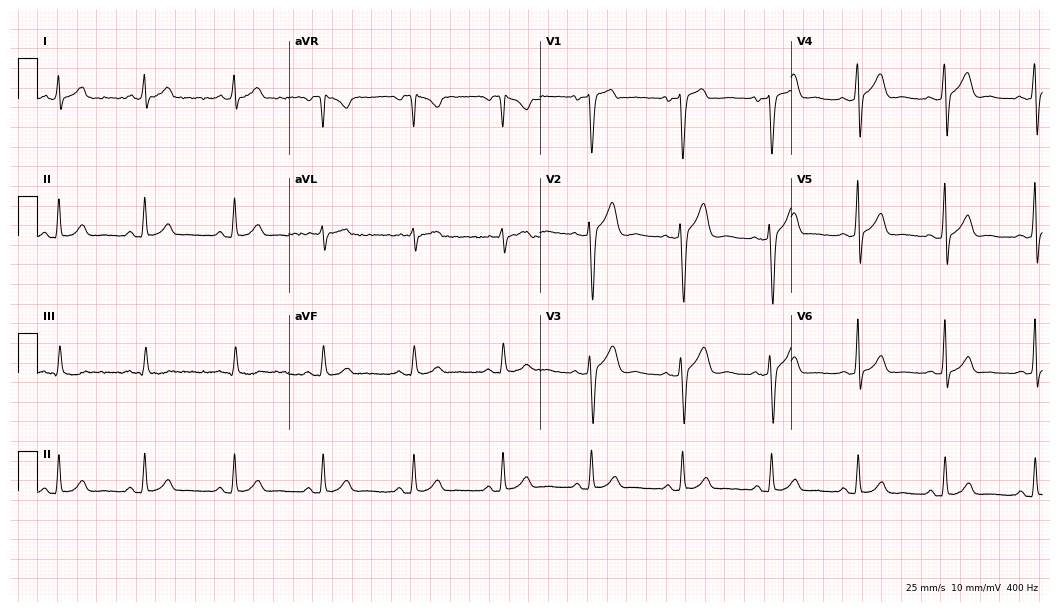
12-lead ECG from a 32-year-old male. Labelled as a normal ECG.